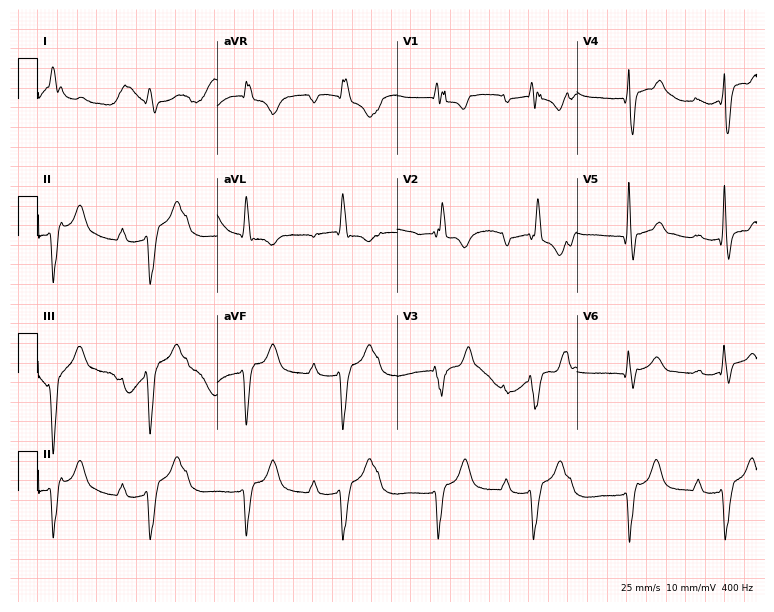
Electrocardiogram (7.3-second recording at 400 Hz), a 55-year-old man. Interpretation includes first-degree AV block, right bundle branch block.